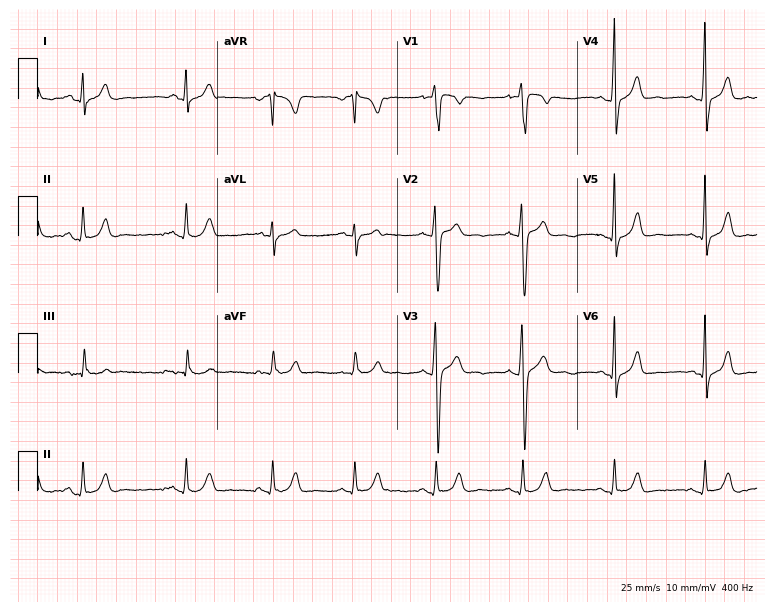
Electrocardiogram, a man, 17 years old. Overall reading on record: normal ECG.